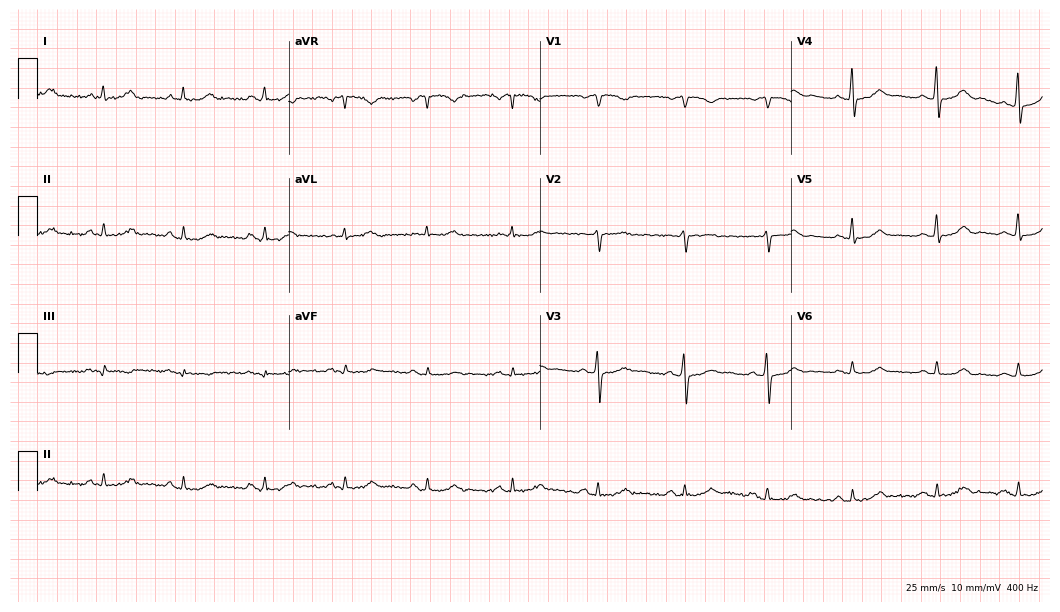
12-lead ECG (10.2-second recording at 400 Hz) from a 57-year-old female. Screened for six findings — first-degree AV block, right bundle branch block, left bundle branch block, sinus bradycardia, atrial fibrillation, sinus tachycardia — none is recorded.